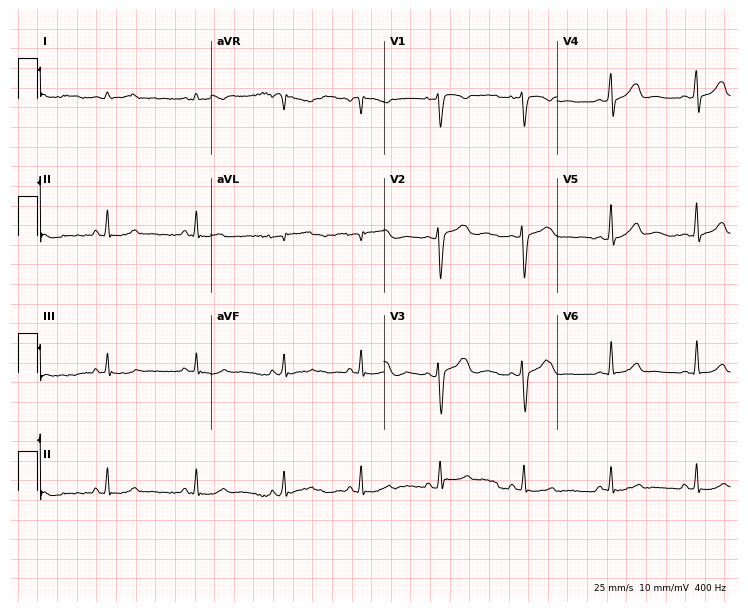
12-lead ECG from a 25-year-old female patient. Labelled as a normal ECG.